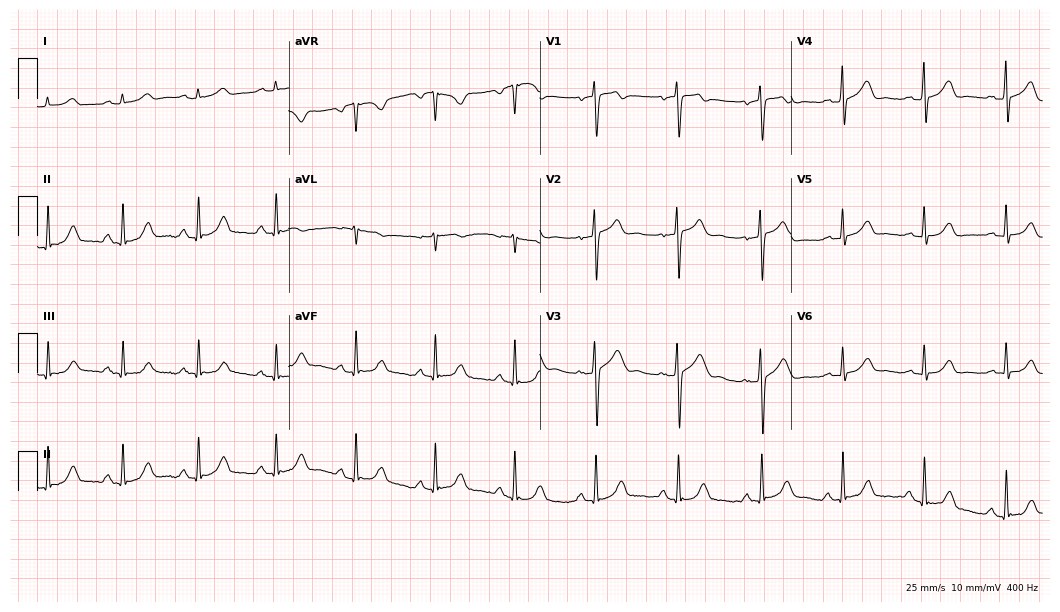
12-lead ECG from a male patient, 33 years old (10.2-second recording at 400 Hz). Recorded interpretation: within normal limits.